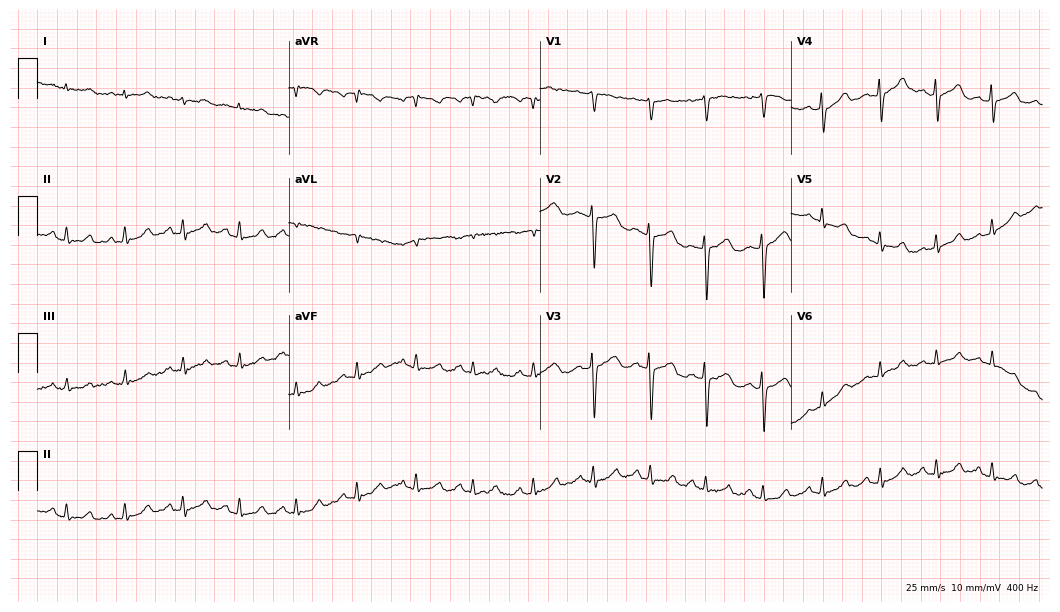
Standard 12-lead ECG recorded from a female patient, 43 years old (10.2-second recording at 400 Hz). Read as a normal ECG.